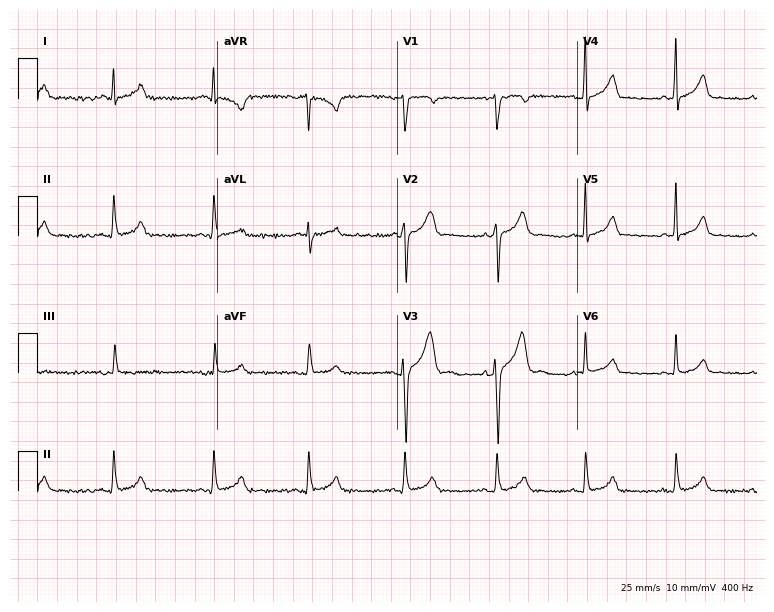
Electrocardiogram (7.3-second recording at 400 Hz), a female, 50 years old. Overall reading on record: normal ECG.